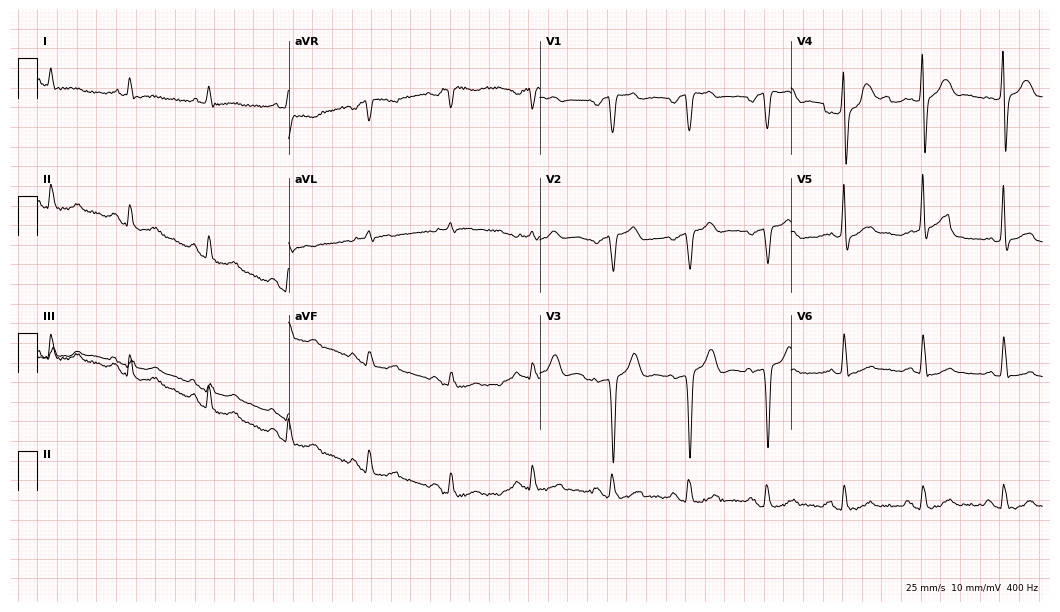
Standard 12-lead ECG recorded from a male patient, 61 years old (10.2-second recording at 400 Hz). None of these six findings is recorded: first-degree AV block, right bundle branch block (RBBB), left bundle branch block (LBBB), sinus bradycardia, atrial fibrillation (AF), sinus tachycardia. Other findings, if any, are not listed.